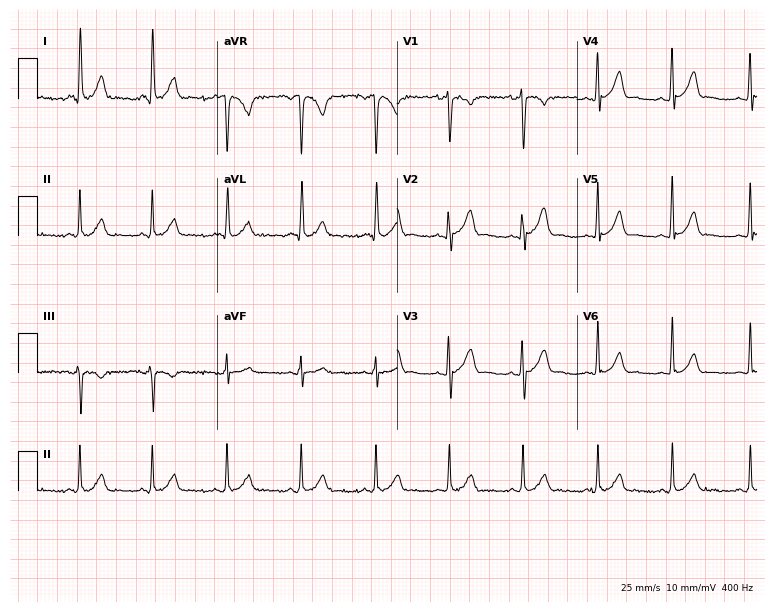
ECG (7.3-second recording at 400 Hz) — a 25-year-old male. Labelled as a normal ECG.